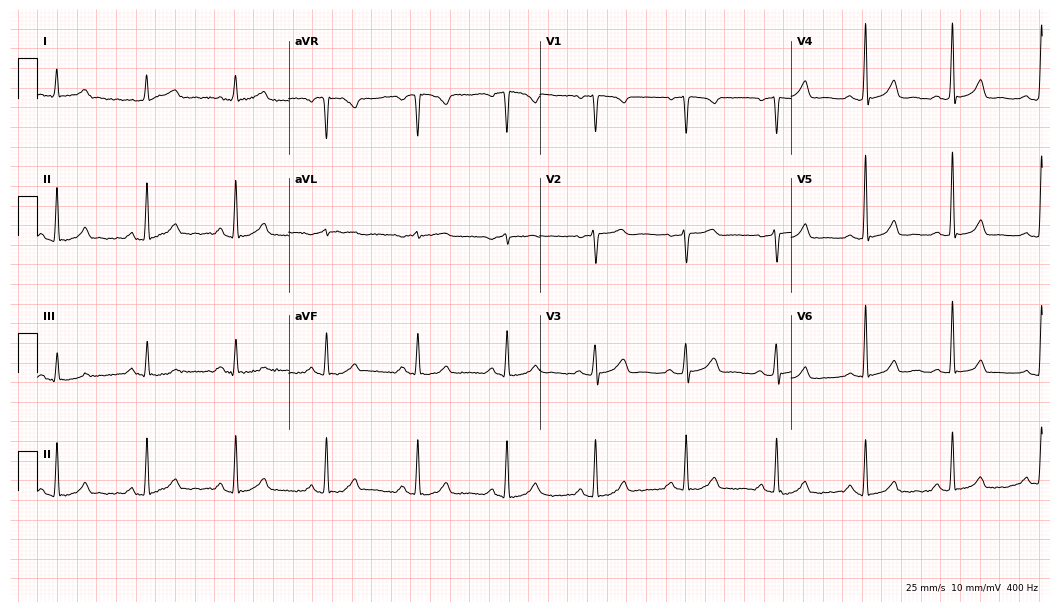
12-lead ECG from a woman, 49 years old. Labelled as a normal ECG.